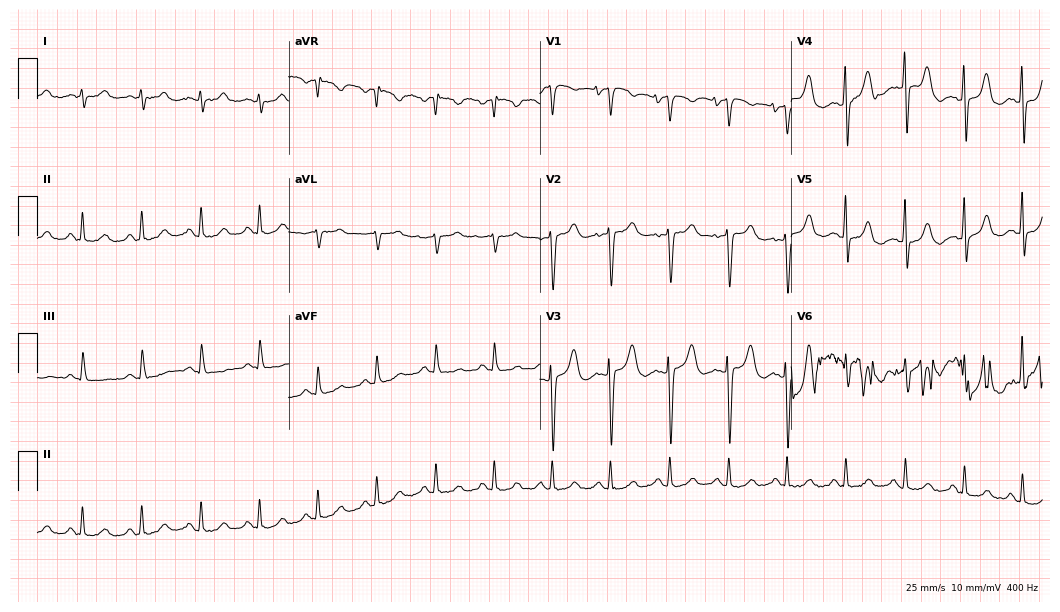
Standard 12-lead ECG recorded from a 77-year-old woman (10.2-second recording at 400 Hz). None of these six findings is recorded: first-degree AV block, right bundle branch block, left bundle branch block, sinus bradycardia, atrial fibrillation, sinus tachycardia. Only these six findings were labelled.